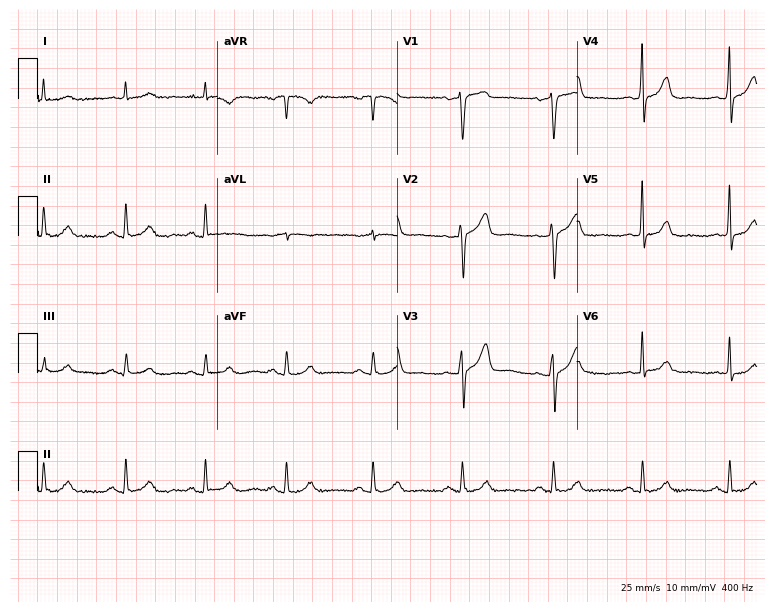
Electrocardiogram, a male patient, 65 years old. Overall reading on record: normal ECG.